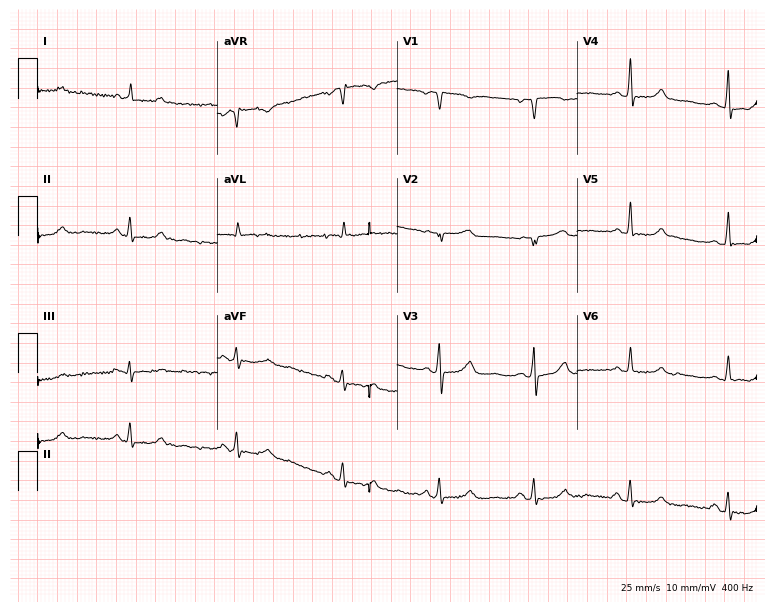
Standard 12-lead ECG recorded from a 51-year-old female patient. None of these six findings is recorded: first-degree AV block, right bundle branch block (RBBB), left bundle branch block (LBBB), sinus bradycardia, atrial fibrillation (AF), sinus tachycardia. Other findings, if any, are not listed.